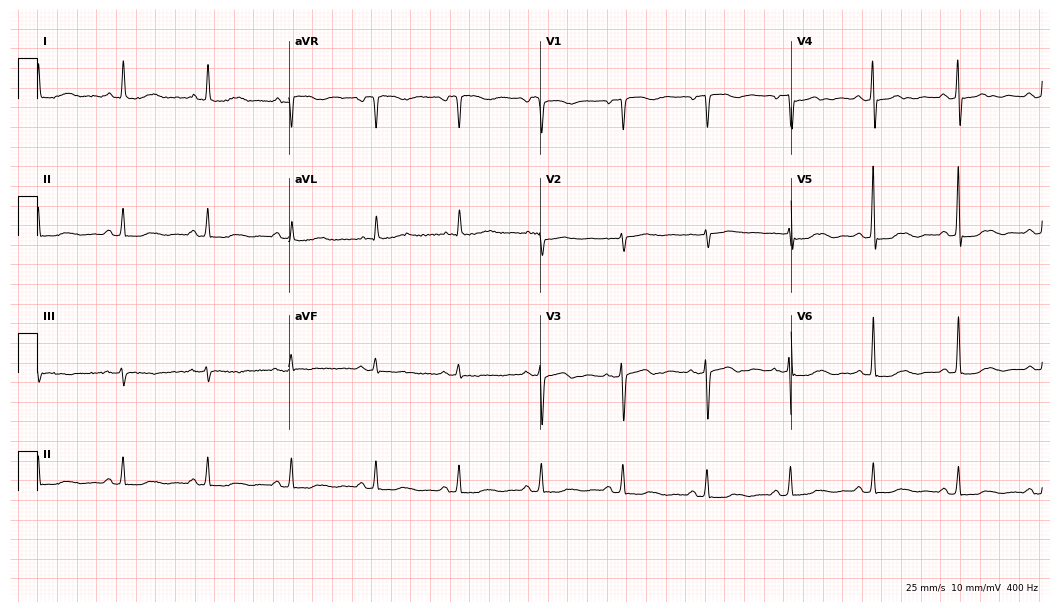
12-lead ECG from a 75-year-old woman. No first-degree AV block, right bundle branch block (RBBB), left bundle branch block (LBBB), sinus bradycardia, atrial fibrillation (AF) or sinus tachycardia recorded for this tracing.